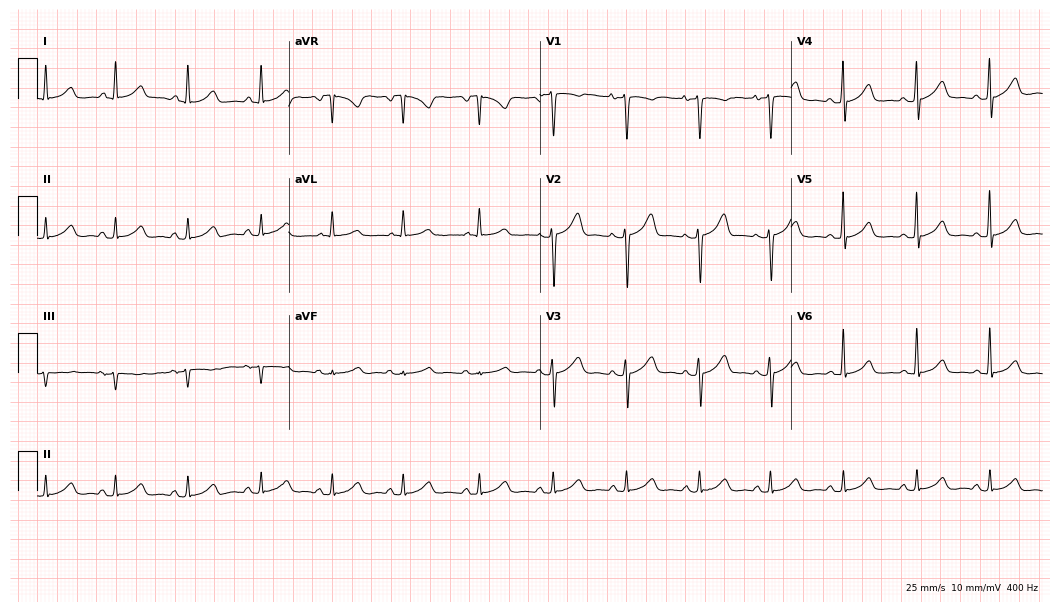
ECG (10.2-second recording at 400 Hz) — a 46-year-old female. Labelled as a normal ECG.